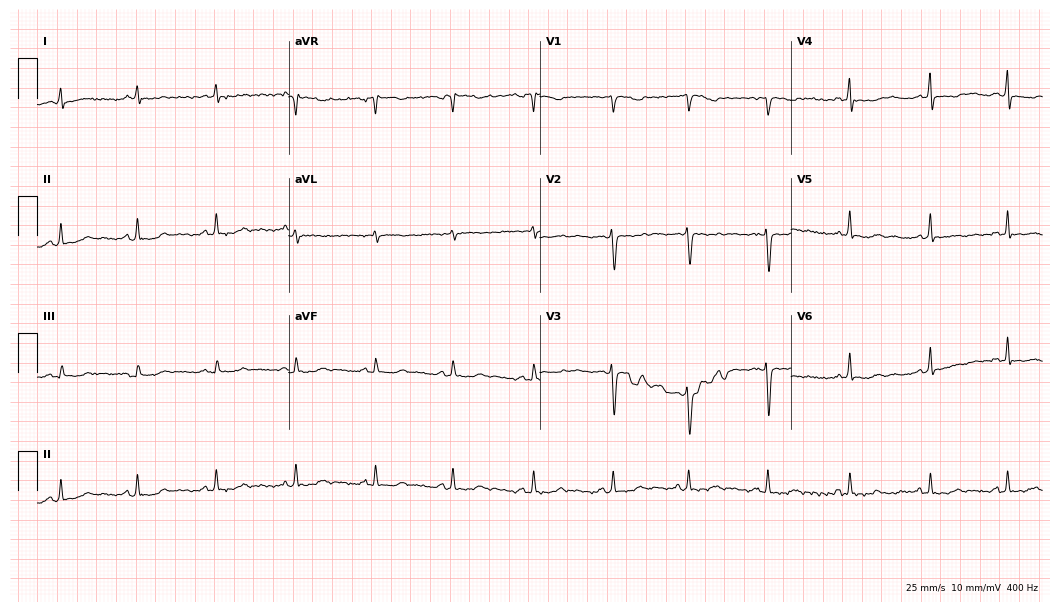
Electrocardiogram, a woman, 27 years old. Of the six screened findings (first-degree AV block, right bundle branch block, left bundle branch block, sinus bradycardia, atrial fibrillation, sinus tachycardia), none is recorded.